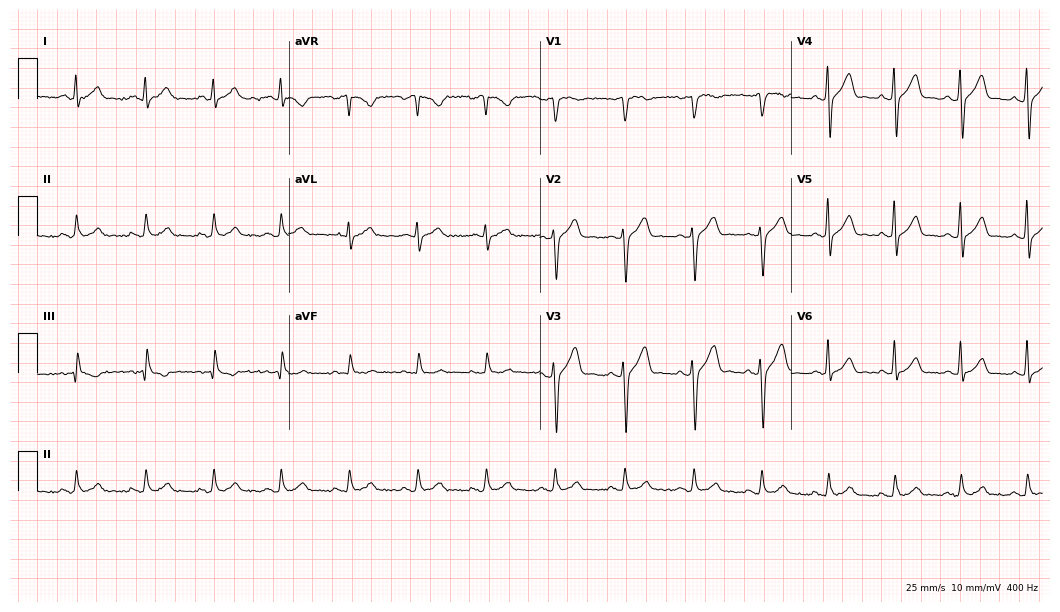
Standard 12-lead ECG recorded from a male patient, 44 years old (10.2-second recording at 400 Hz). Read as a normal ECG.